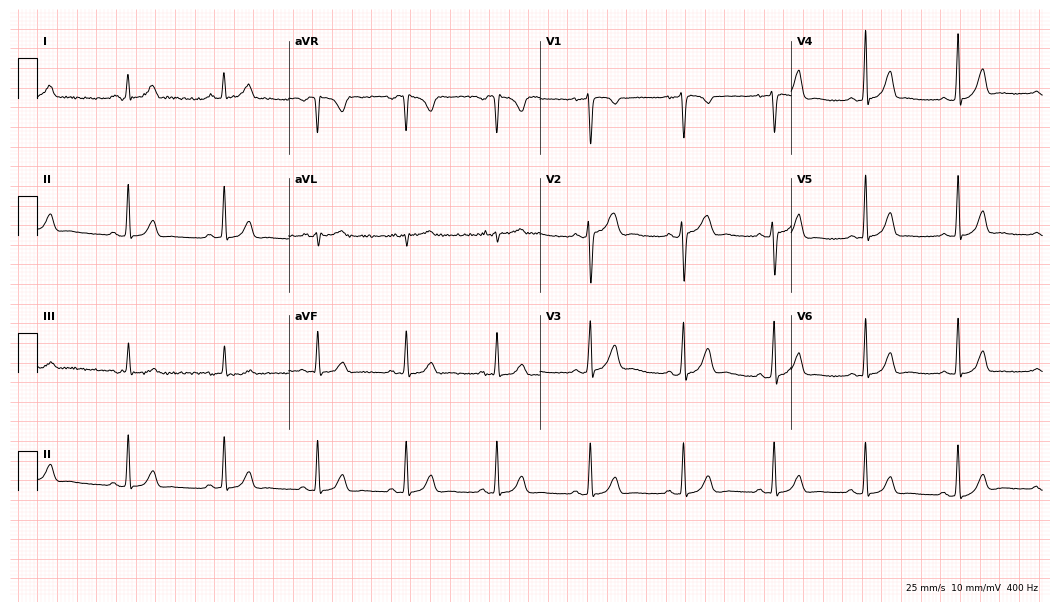
12-lead ECG from a woman, 33 years old (10.2-second recording at 400 Hz). Recorded interpretation: within normal limits.